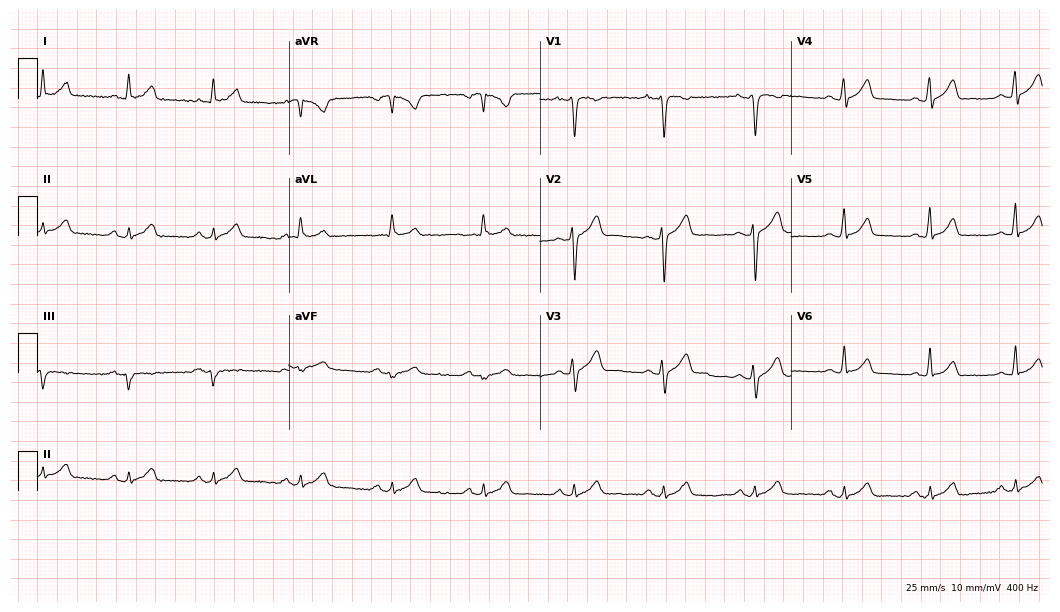
Standard 12-lead ECG recorded from a 31-year-old man (10.2-second recording at 400 Hz). Read as a normal ECG.